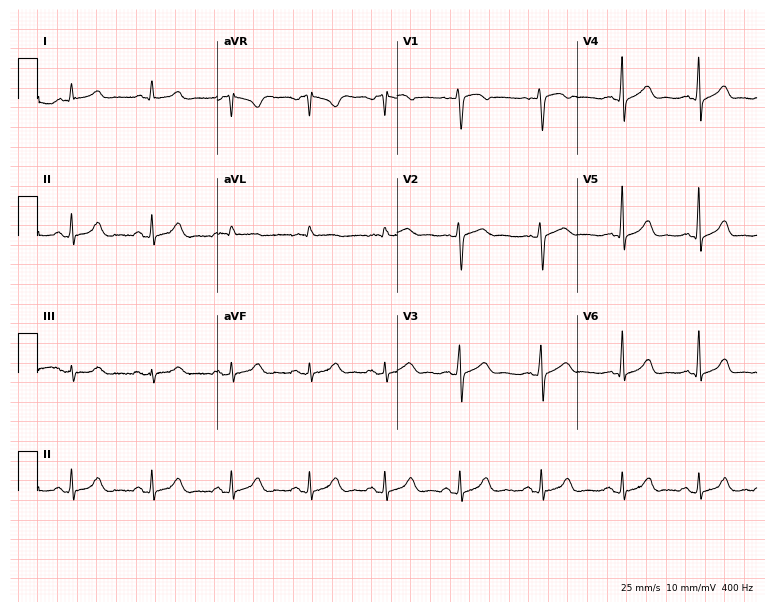
12-lead ECG from a female, 42 years old (7.3-second recording at 400 Hz). No first-degree AV block, right bundle branch block, left bundle branch block, sinus bradycardia, atrial fibrillation or sinus tachycardia recorded for this tracing.